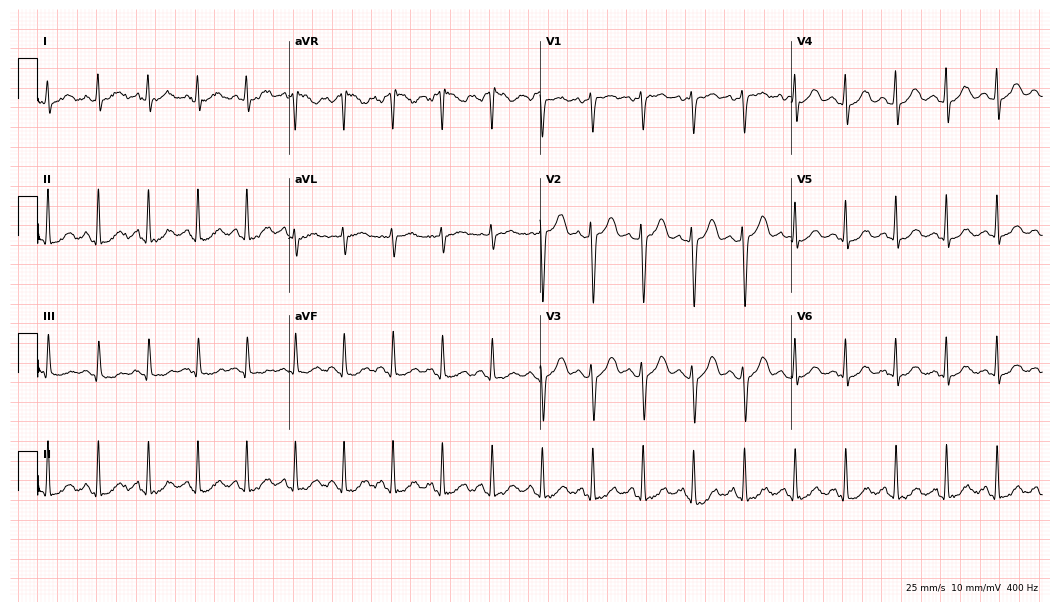
Resting 12-lead electrocardiogram. Patient: a female, 44 years old. The tracing shows sinus tachycardia (a sinus rate of 100 beats per minute or more).